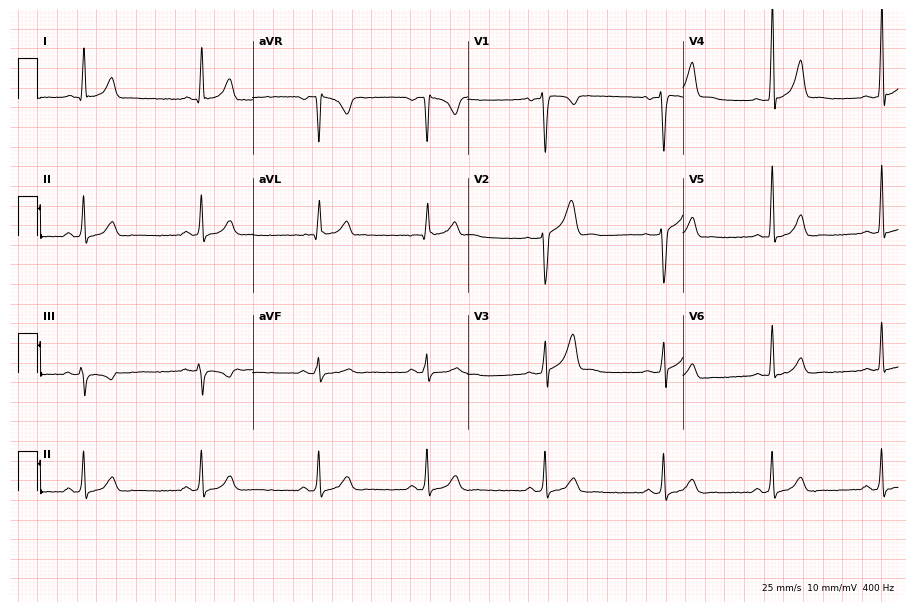
Standard 12-lead ECG recorded from a 30-year-old male (8.8-second recording at 400 Hz). None of these six findings is recorded: first-degree AV block, right bundle branch block, left bundle branch block, sinus bradycardia, atrial fibrillation, sinus tachycardia.